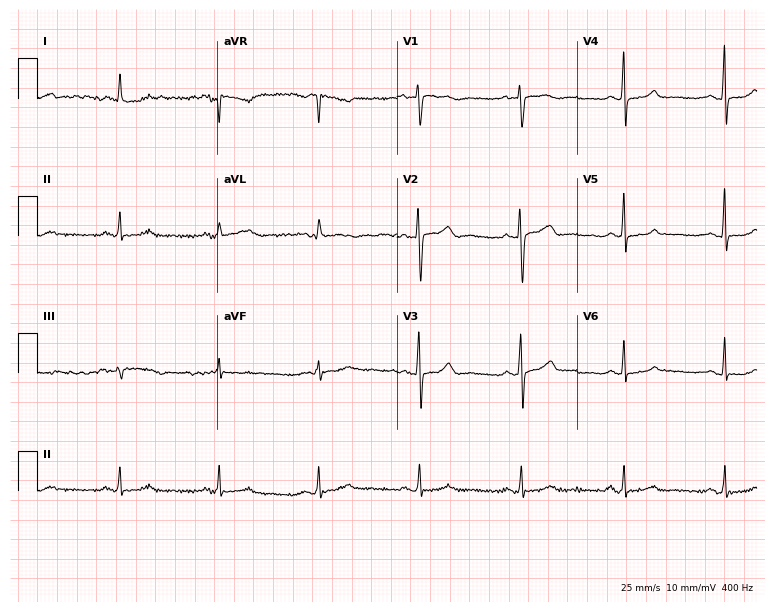
Electrocardiogram (7.3-second recording at 400 Hz), a female patient, 63 years old. Of the six screened findings (first-degree AV block, right bundle branch block (RBBB), left bundle branch block (LBBB), sinus bradycardia, atrial fibrillation (AF), sinus tachycardia), none is recorded.